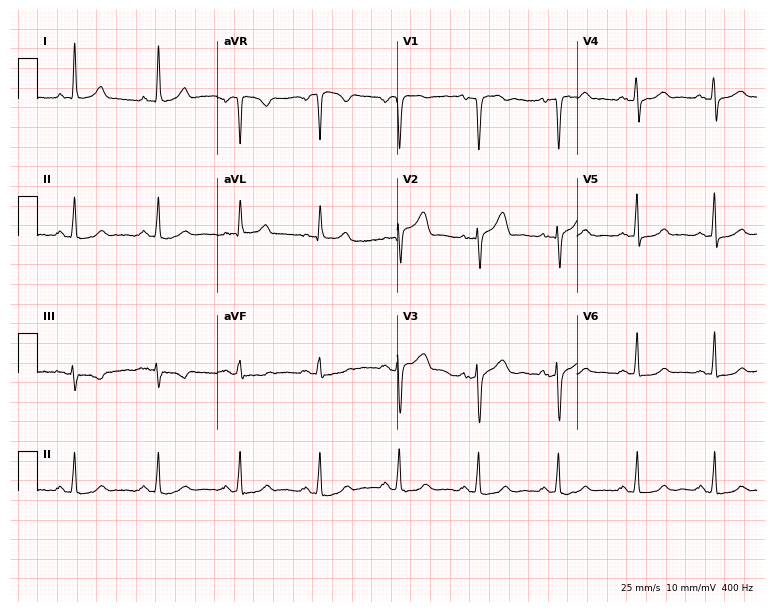
Resting 12-lead electrocardiogram. Patient: a 58-year-old female. Read as a normal ECG.